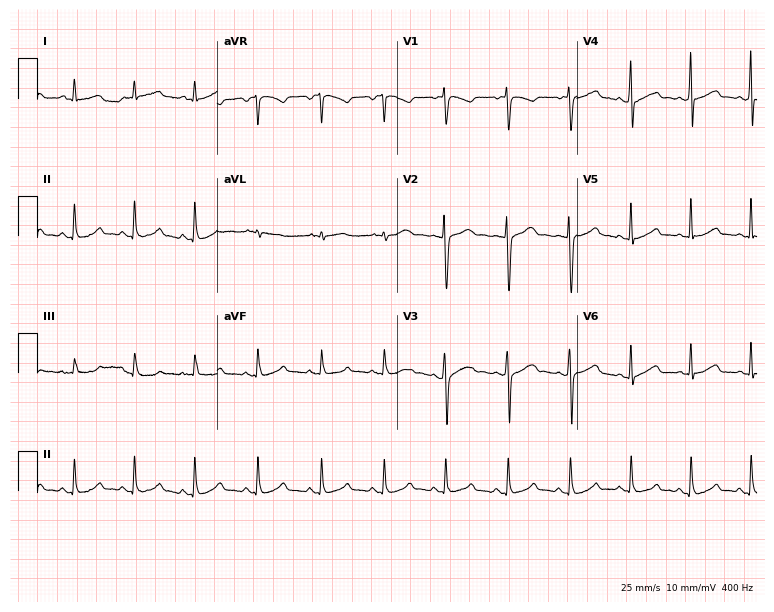
Electrocardiogram, a female patient, 26 years old. Of the six screened findings (first-degree AV block, right bundle branch block, left bundle branch block, sinus bradycardia, atrial fibrillation, sinus tachycardia), none is recorded. Other findings, if any, are not listed.